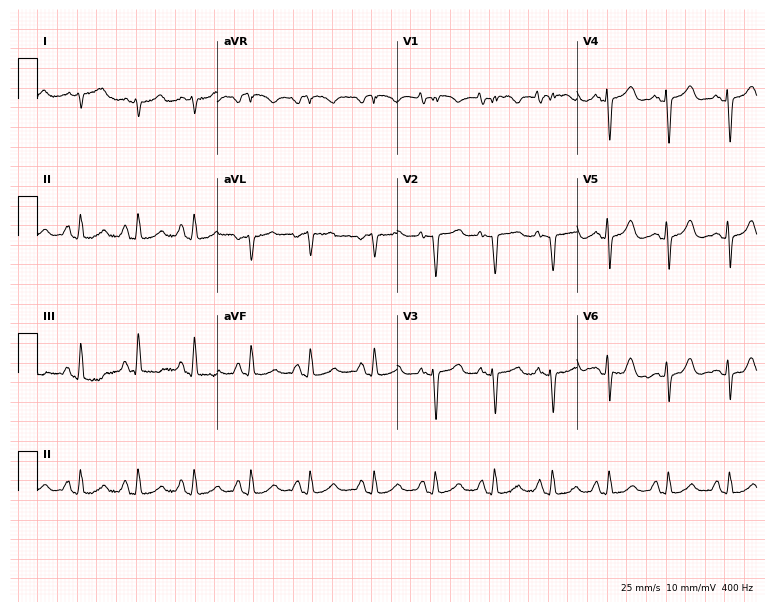
Resting 12-lead electrocardiogram. Patient: a woman, 73 years old. None of these six findings is recorded: first-degree AV block, right bundle branch block (RBBB), left bundle branch block (LBBB), sinus bradycardia, atrial fibrillation (AF), sinus tachycardia. Findings outside these six are not listed.